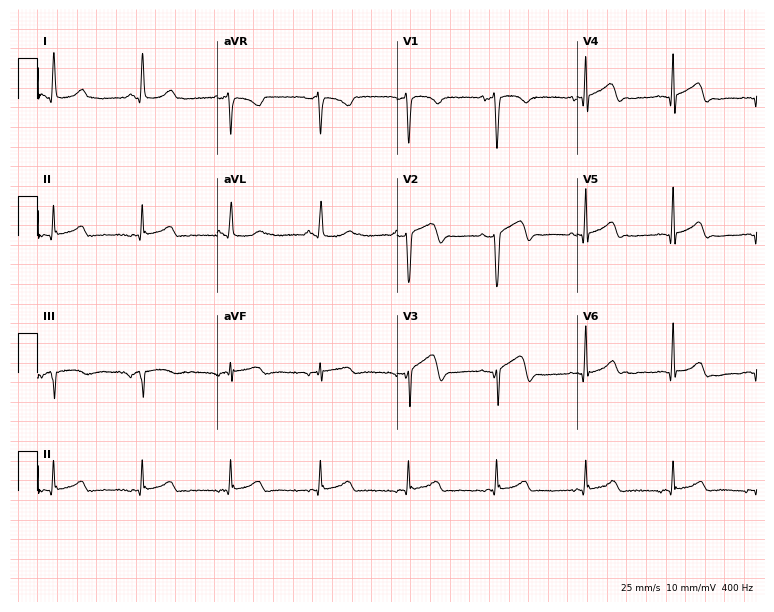
12-lead ECG from a 74-year-old woman (7.3-second recording at 400 Hz). No first-degree AV block, right bundle branch block (RBBB), left bundle branch block (LBBB), sinus bradycardia, atrial fibrillation (AF) or sinus tachycardia recorded for this tracing.